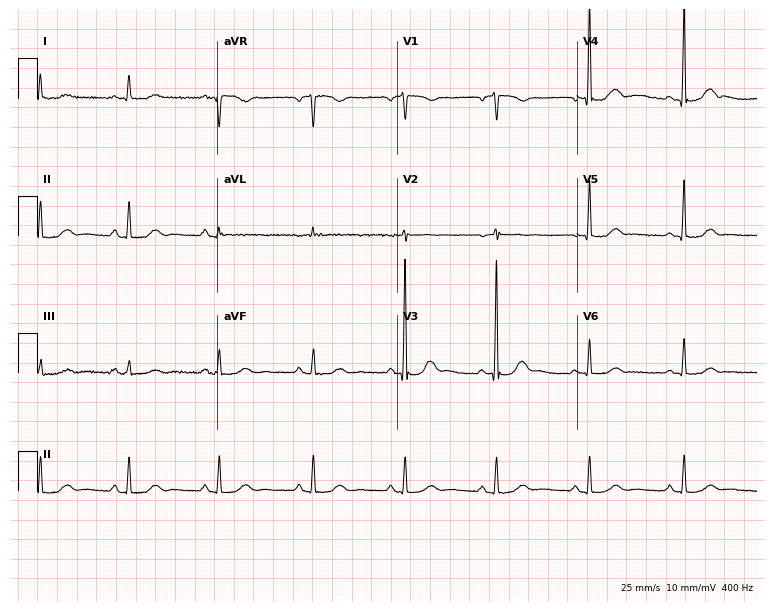
12-lead ECG from a female patient, 49 years old. No first-degree AV block, right bundle branch block, left bundle branch block, sinus bradycardia, atrial fibrillation or sinus tachycardia recorded for this tracing. Other findings, if any, are not listed.